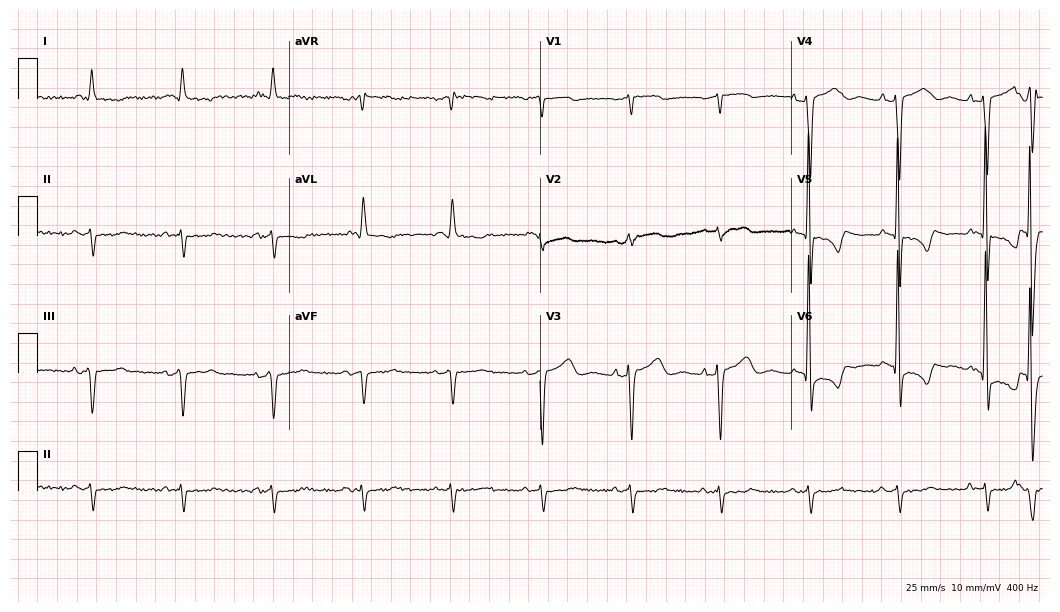
Resting 12-lead electrocardiogram. Patient: an 81-year-old male. None of these six findings is recorded: first-degree AV block, right bundle branch block, left bundle branch block, sinus bradycardia, atrial fibrillation, sinus tachycardia.